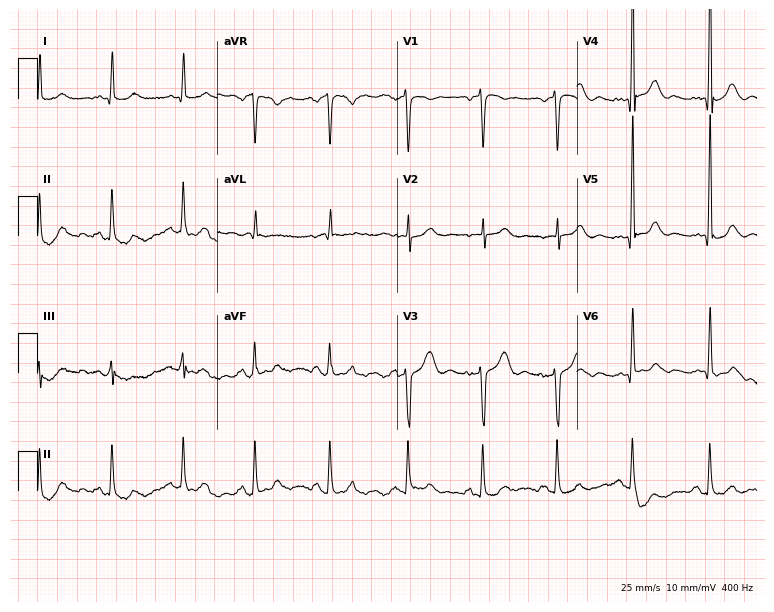
ECG (7.3-second recording at 400 Hz) — a male, 61 years old. Screened for six findings — first-degree AV block, right bundle branch block, left bundle branch block, sinus bradycardia, atrial fibrillation, sinus tachycardia — none is recorded.